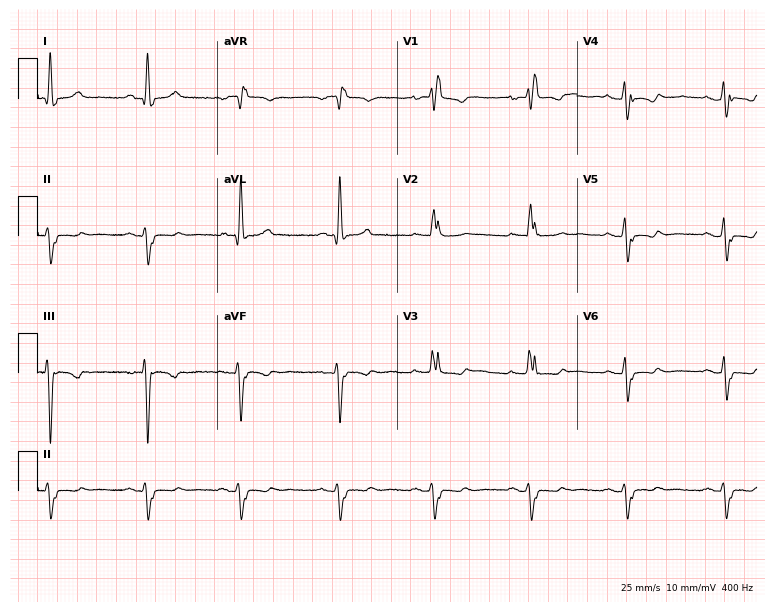
12-lead ECG from a woman, 75 years old. Screened for six findings — first-degree AV block, right bundle branch block, left bundle branch block, sinus bradycardia, atrial fibrillation, sinus tachycardia — none is recorded. Other findings, if any, are not listed.